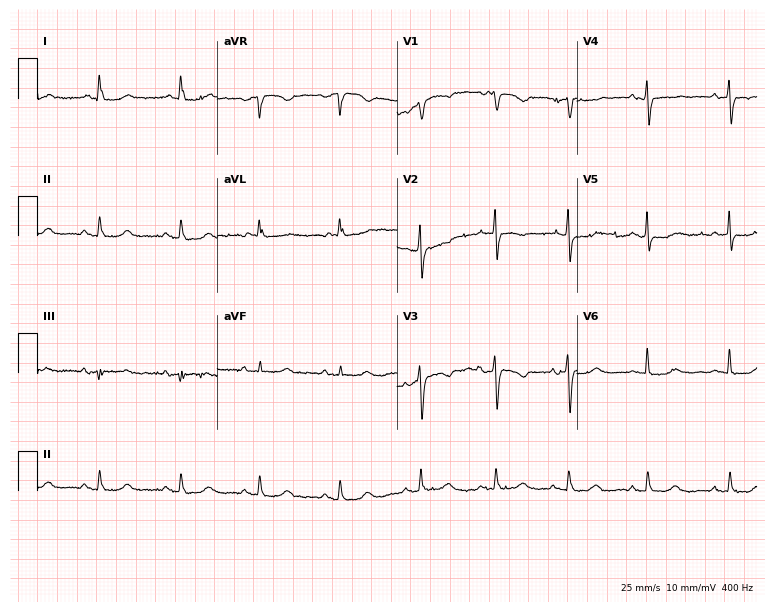
12-lead ECG from a 79-year-old female patient. Screened for six findings — first-degree AV block, right bundle branch block, left bundle branch block, sinus bradycardia, atrial fibrillation, sinus tachycardia — none is recorded. Other findings, if any, are not listed.